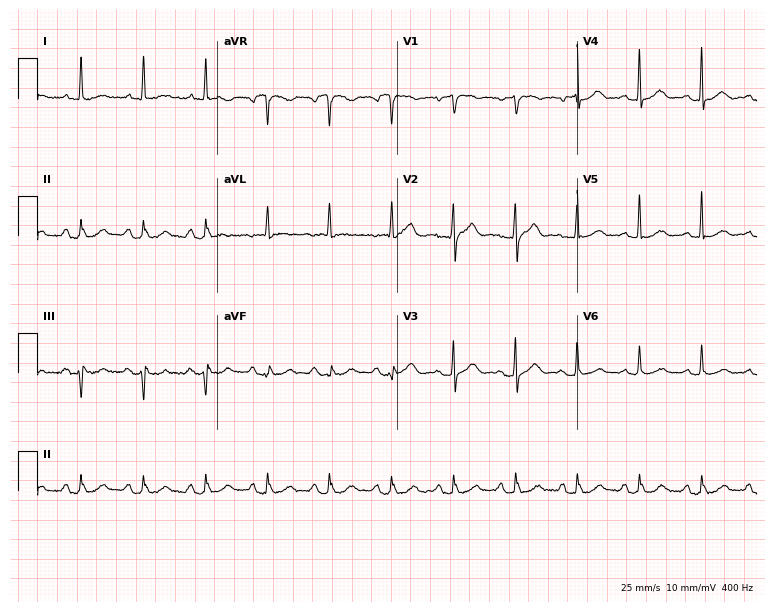
Resting 12-lead electrocardiogram. Patient: a female, 75 years old. Read as a normal ECG.